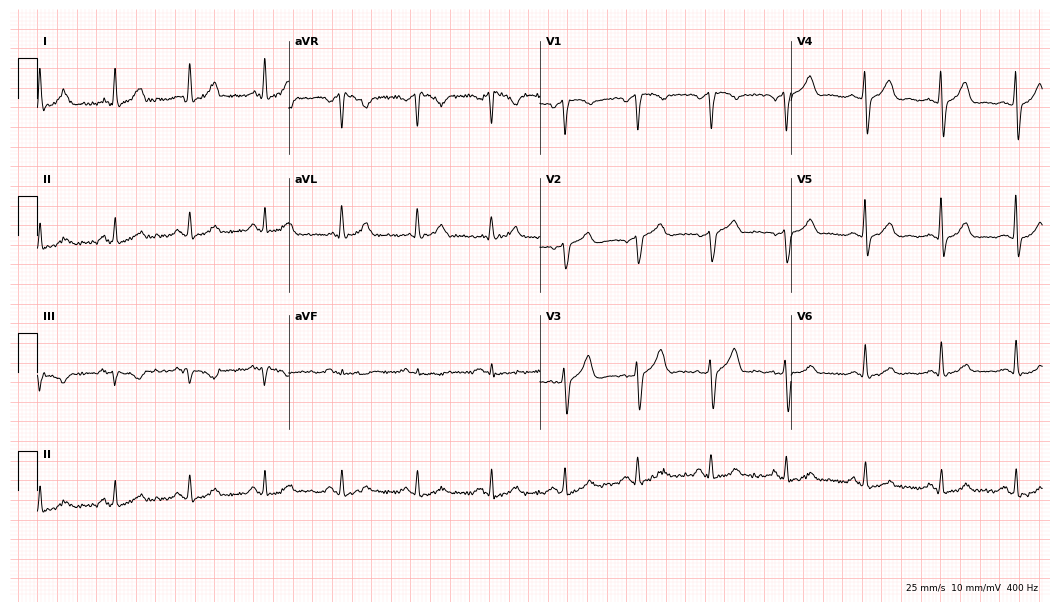
Electrocardiogram, a male, 53 years old. Of the six screened findings (first-degree AV block, right bundle branch block, left bundle branch block, sinus bradycardia, atrial fibrillation, sinus tachycardia), none is recorded.